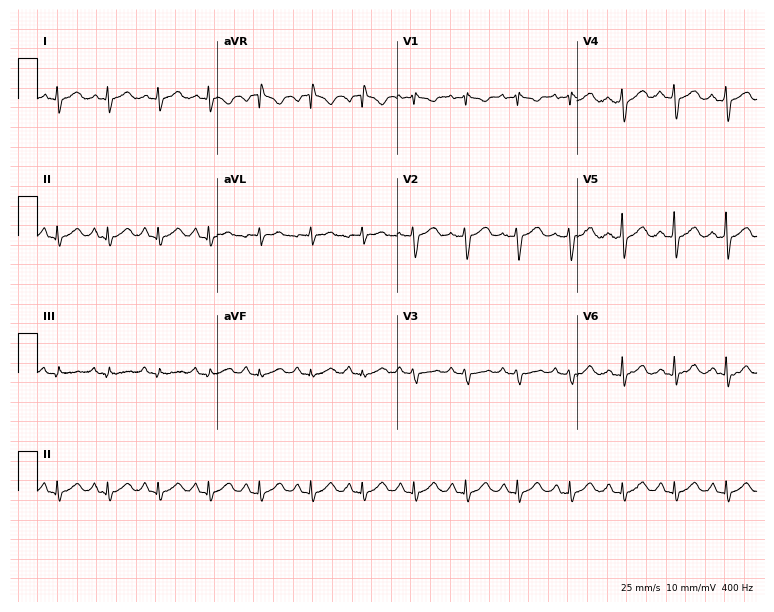
Standard 12-lead ECG recorded from a man, 59 years old. The tracing shows sinus tachycardia (a sinus rate of 100 beats per minute or more).